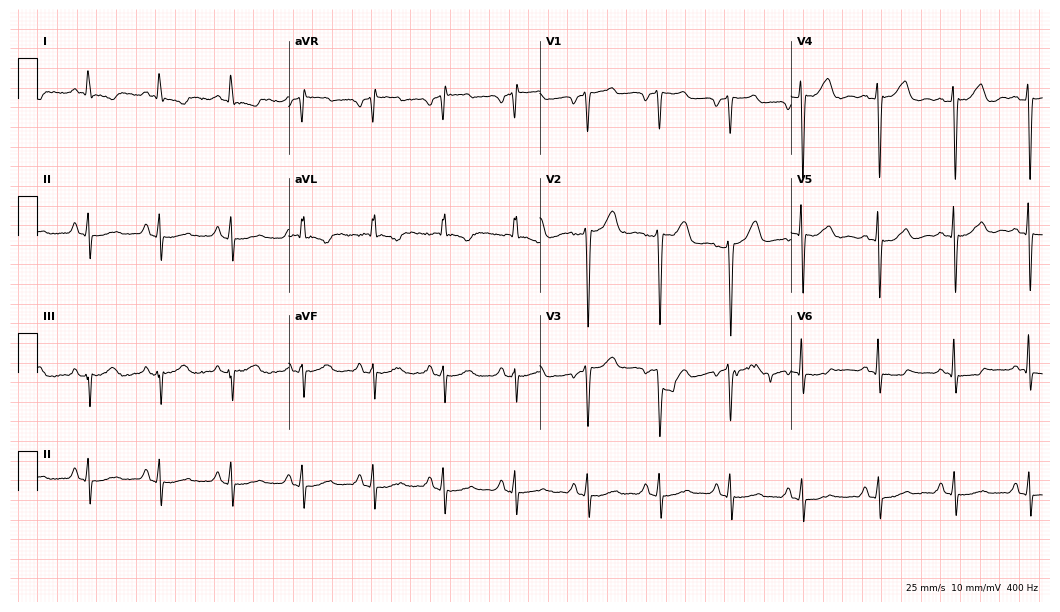
Resting 12-lead electrocardiogram. Patient: a 50-year-old female. Read as a normal ECG.